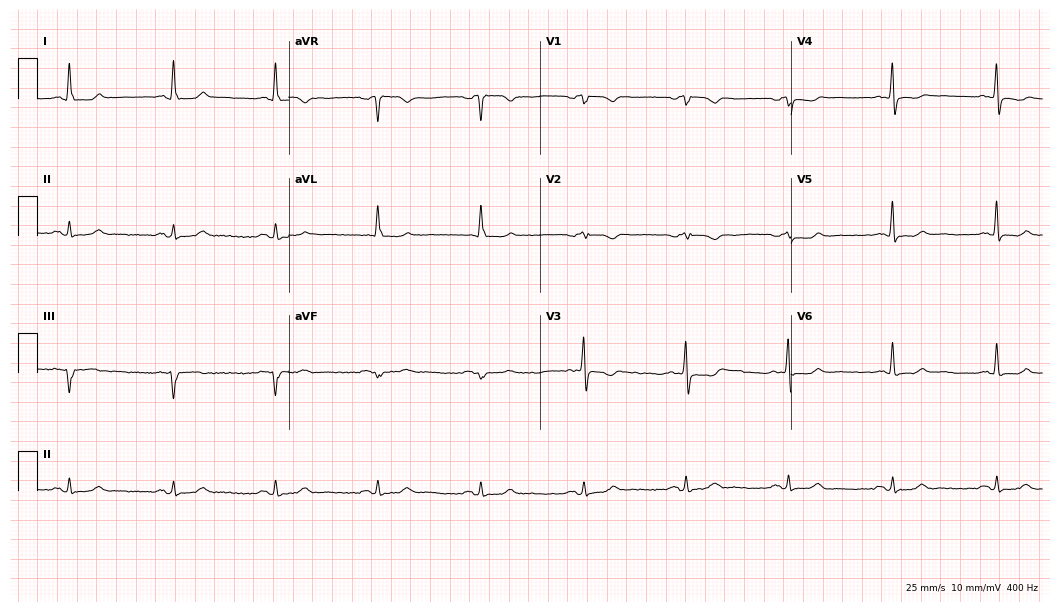
Standard 12-lead ECG recorded from a 69-year-old female patient (10.2-second recording at 400 Hz). None of these six findings is recorded: first-degree AV block, right bundle branch block (RBBB), left bundle branch block (LBBB), sinus bradycardia, atrial fibrillation (AF), sinus tachycardia. Other findings, if any, are not listed.